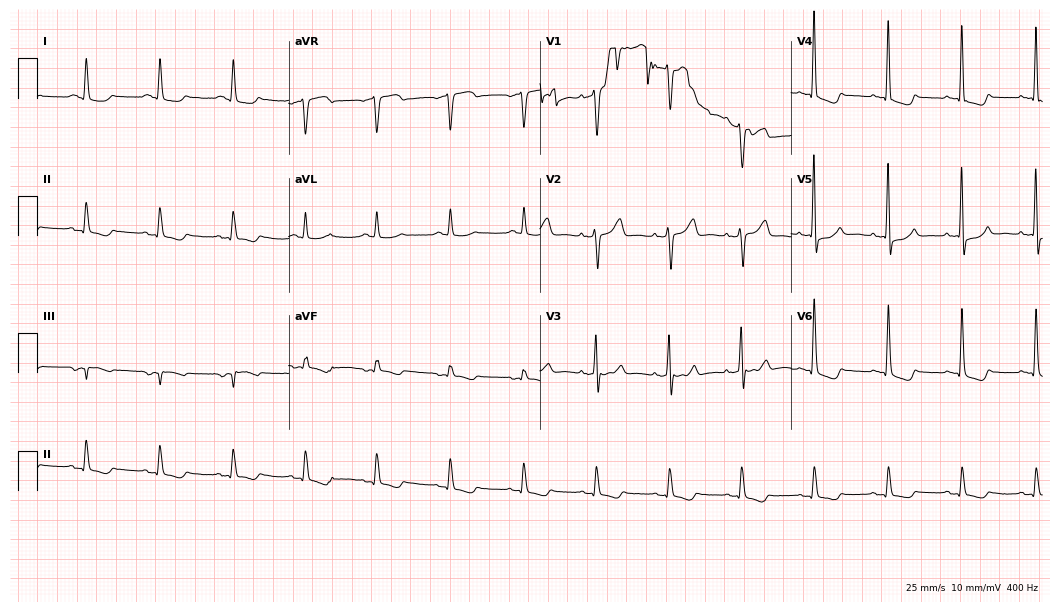
Electrocardiogram (10.2-second recording at 400 Hz), a 70-year-old female patient. Of the six screened findings (first-degree AV block, right bundle branch block (RBBB), left bundle branch block (LBBB), sinus bradycardia, atrial fibrillation (AF), sinus tachycardia), none is recorded.